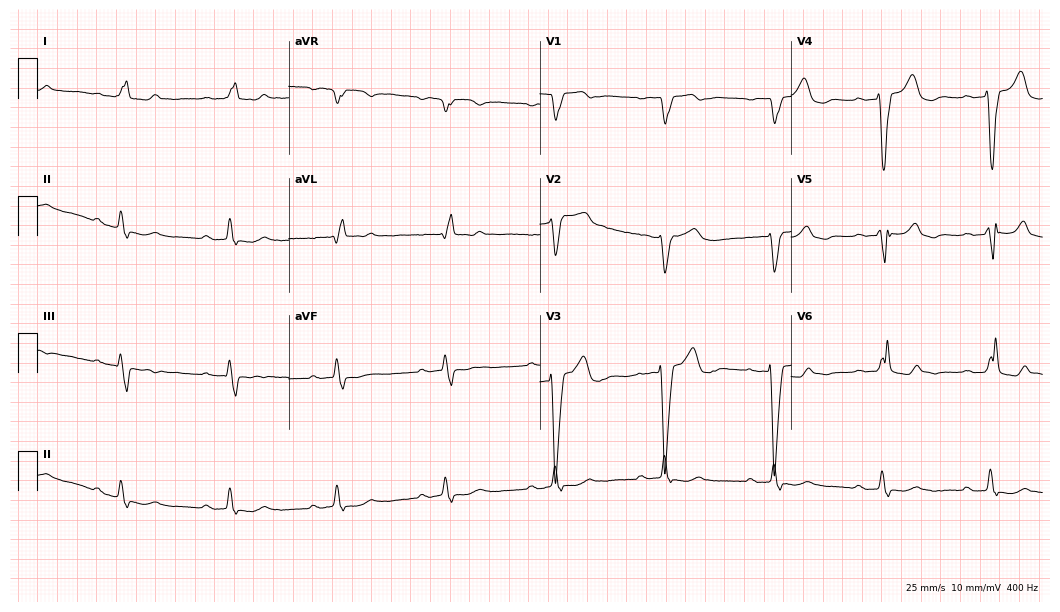
12-lead ECG from an 83-year-old female patient. Findings include first-degree AV block, left bundle branch block.